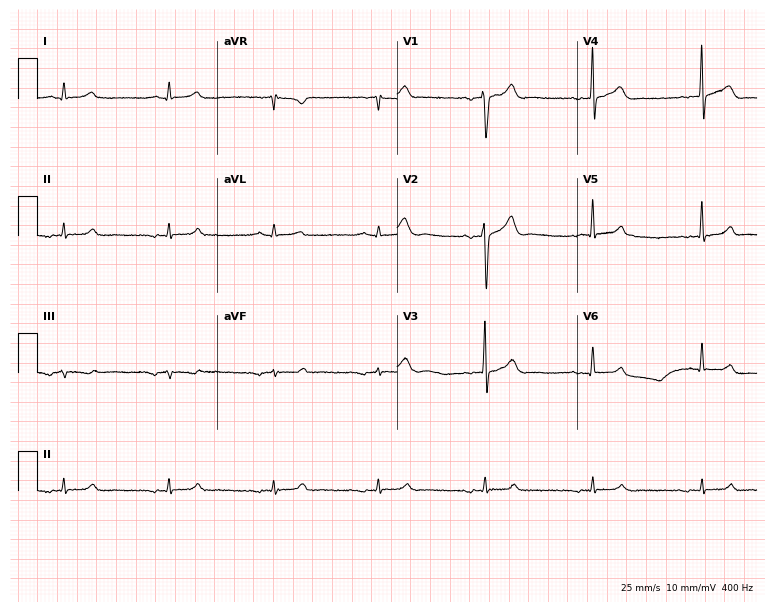
Electrocardiogram (7.3-second recording at 400 Hz), a 44-year-old man. Of the six screened findings (first-degree AV block, right bundle branch block, left bundle branch block, sinus bradycardia, atrial fibrillation, sinus tachycardia), none is recorded. Findings outside these six are not listed.